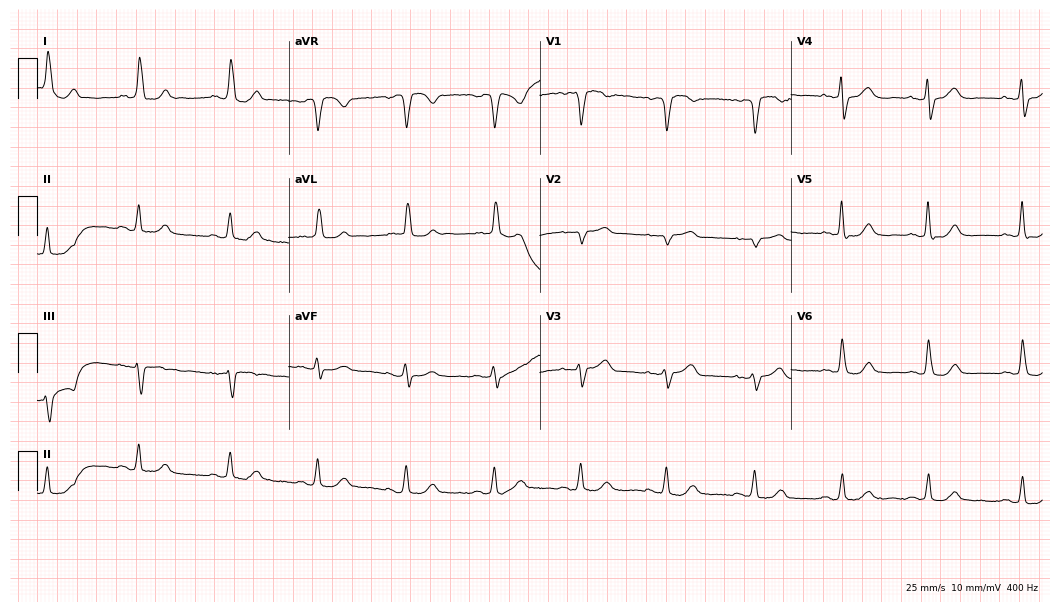
12-lead ECG from a 62-year-old male (10.2-second recording at 400 Hz). No first-degree AV block, right bundle branch block (RBBB), left bundle branch block (LBBB), sinus bradycardia, atrial fibrillation (AF) or sinus tachycardia recorded for this tracing.